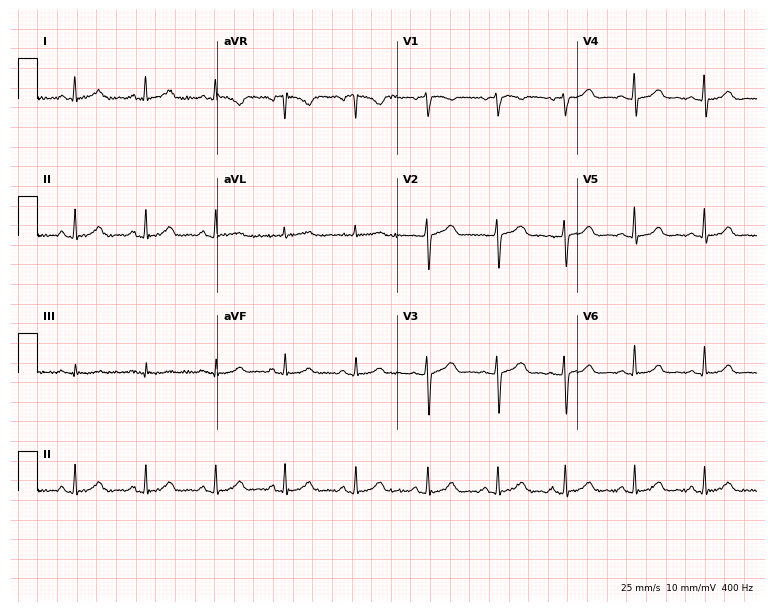
12-lead ECG from a female, 50 years old (7.3-second recording at 400 Hz). Recorded interpretation: within normal limits.